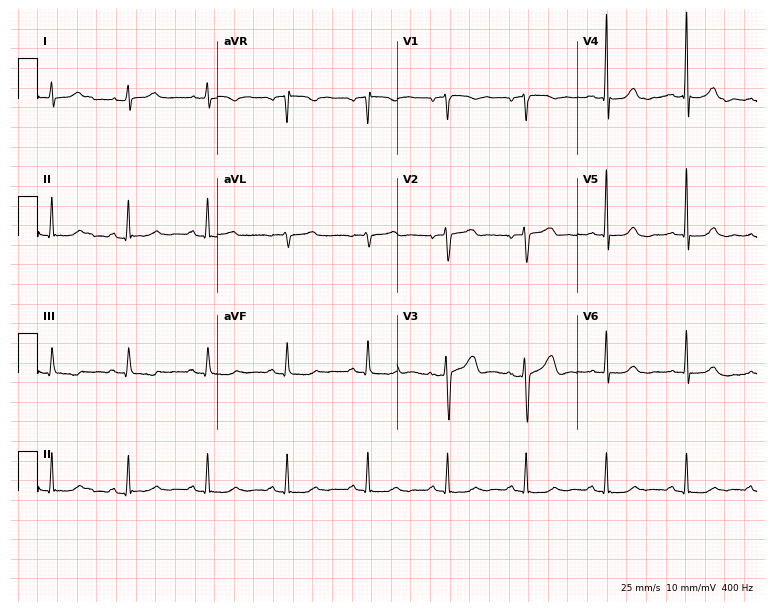
12-lead ECG from a female, 60 years old. No first-degree AV block, right bundle branch block, left bundle branch block, sinus bradycardia, atrial fibrillation or sinus tachycardia recorded for this tracing. Only these six findings were labelled.